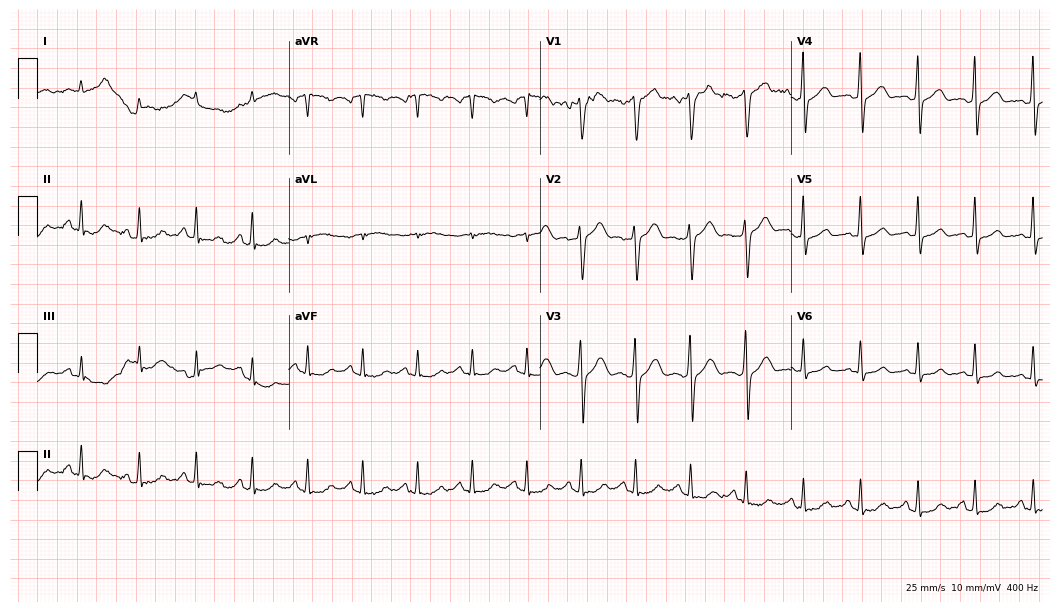
Standard 12-lead ECG recorded from a 44-year-old male (10.2-second recording at 400 Hz). None of these six findings is recorded: first-degree AV block, right bundle branch block, left bundle branch block, sinus bradycardia, atrial fibrillation, sinus tachycardia.